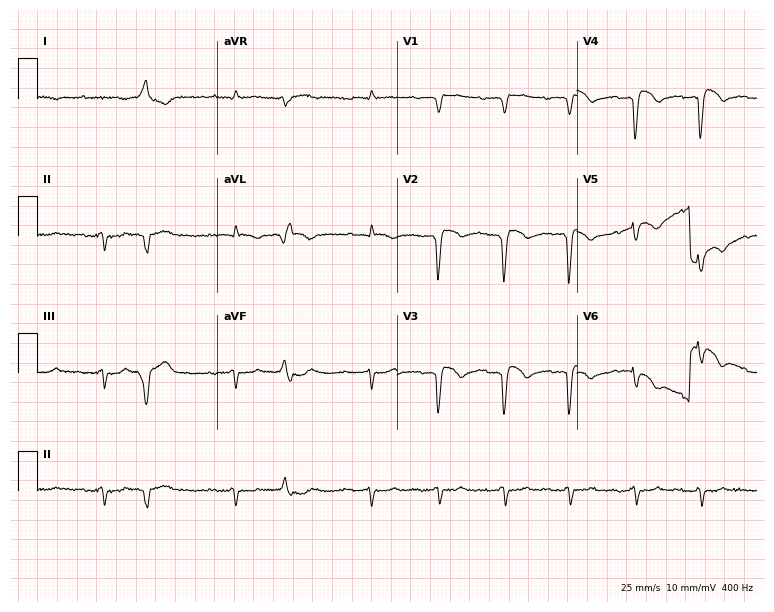
Electrocardiogram, a male patient, 83 years old. Of the six screened findings (first-degree AV block, right bundle branch block (RBBB), left bundle branch block (LBBB), sinus bradycardia, atrial fibrillation (AF), sinus tachycardia), none is recorded. Other findings, if any, are not listed.